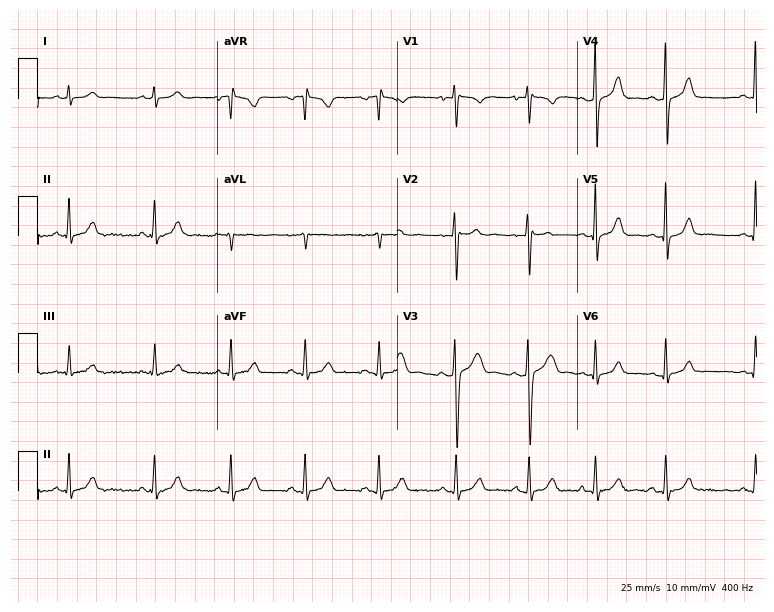
ECG (7.3-second recording at 400 Hz) — an 18-year-old male patient. Labelled as a normal ECG.